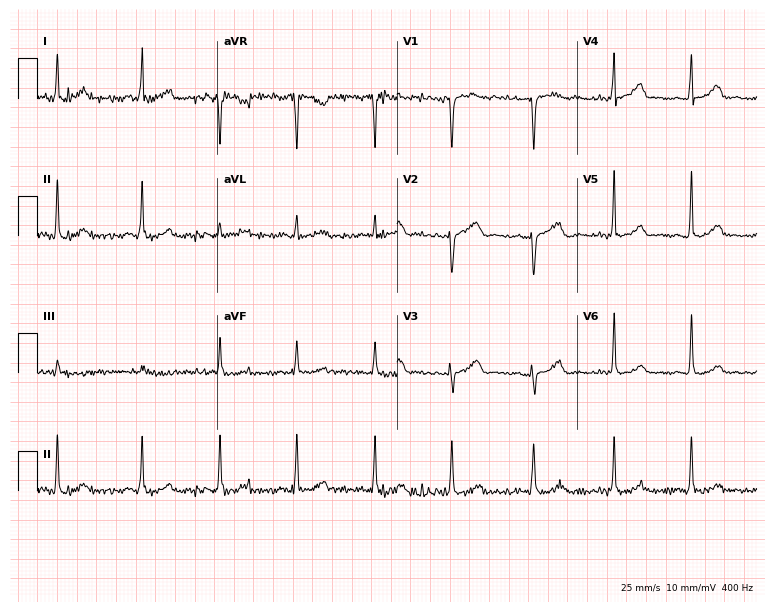
12-lead ECG from a 32-year-old man (7.3-second recording at 400 Hz). Recorded interpretation: within normal limits.